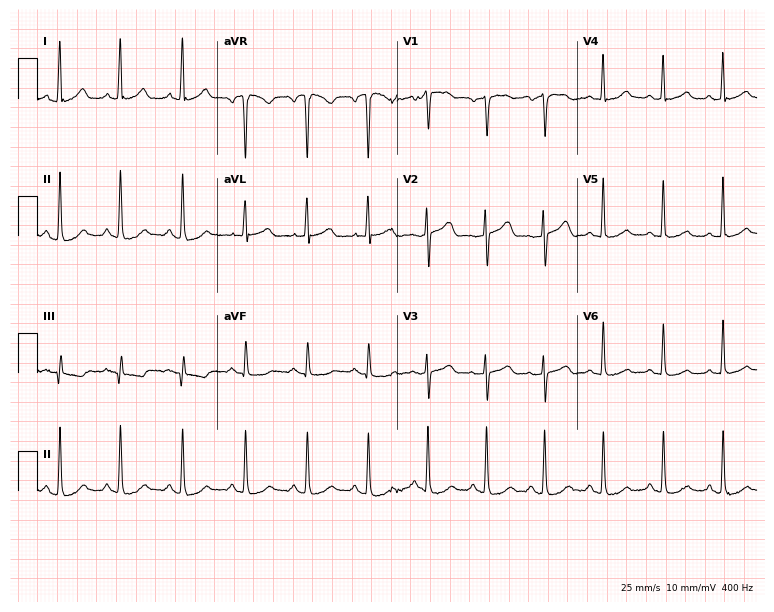
12-lead ECG from a 69-year-old female patient. Recorded interpretation: within normal limits.